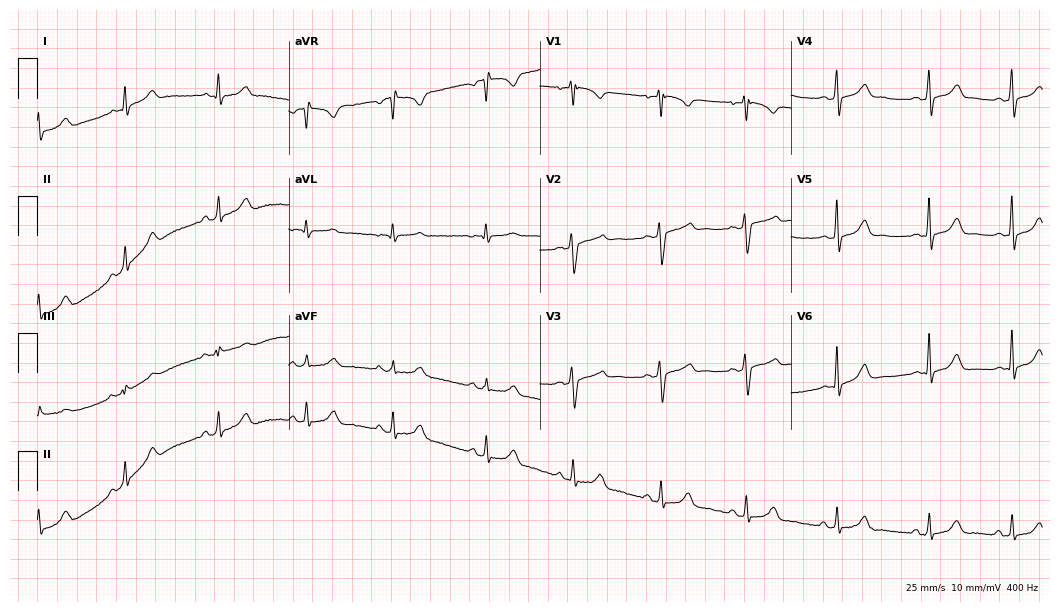
Standard 12-lead ECG recorded from a woman, 48 years old. Read as a normal ECG.